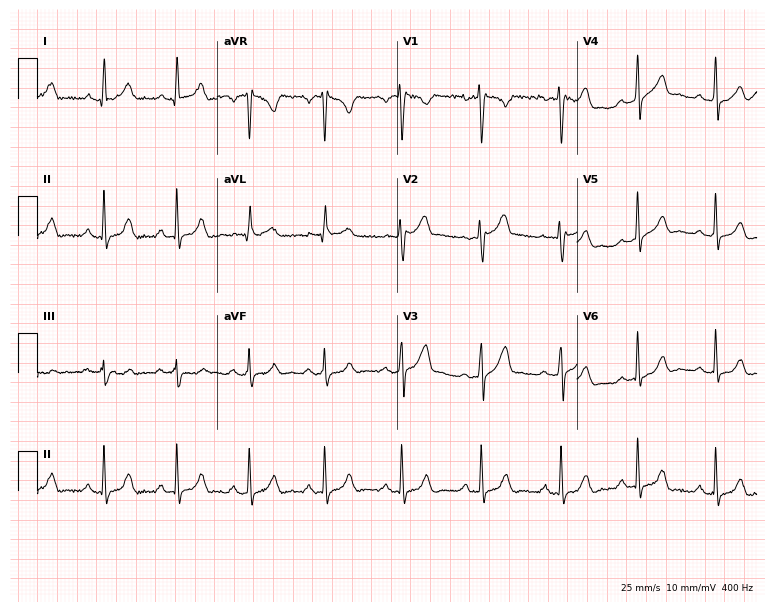
12-lead ECG from a male, 47 years old. Screened for six findings — first-degree AV block, right bundle branch block, left bundle branch block, sinus bradycardia, atrial fibrillation, sinus tachycardia — none is recorded. Only these six findings were labelled.